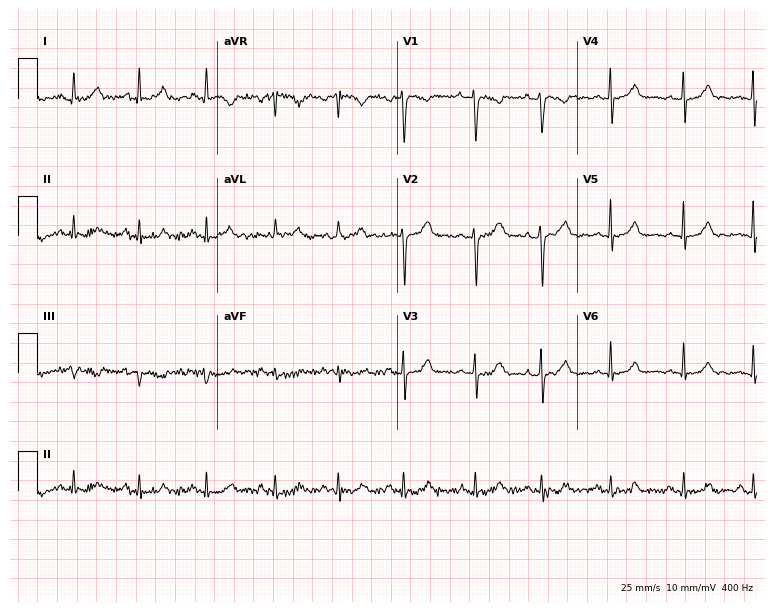
Resting 12-lead electrocardiogram (7.3-second recording at 400 Hz). Patient: a female, 37 years old. Read as a normal ECG.